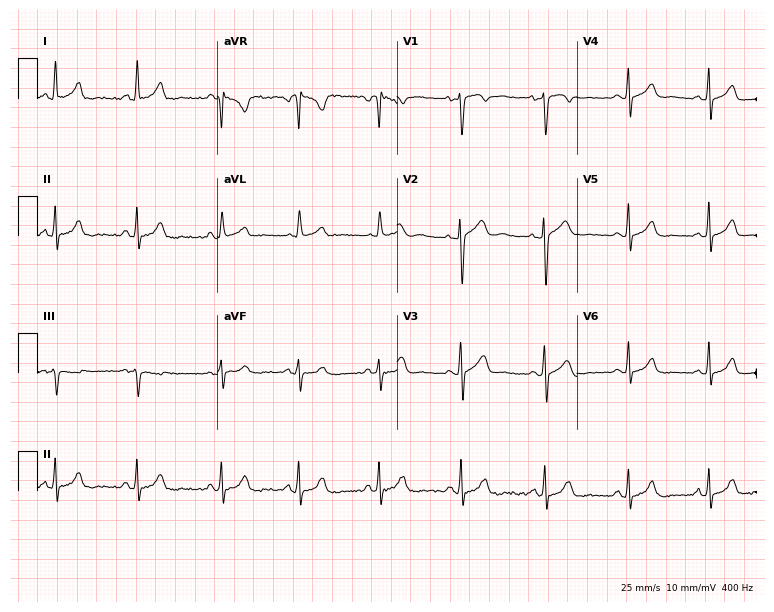
Standard 12-lead ECG recorded from a female, 19 years old. None of these six findings is recorded: first-degree AV block, right bundle branch block, left bundle branch block, sinus bradycardia, atrial fibrillation, sinus tachycardia.